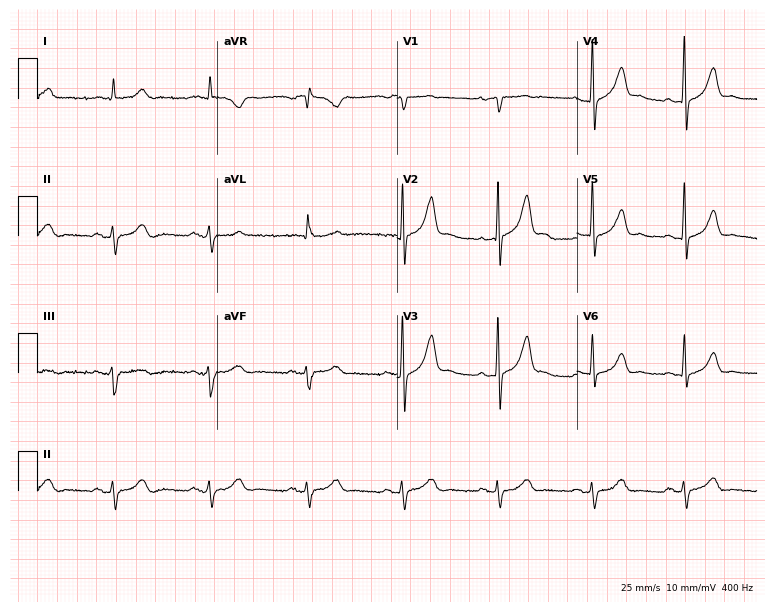
Standard 12-lead ECG recorded from a 54-year-old man (7.3-second recording at 400 Hz). None of these six findings is recorded: first-degree AV block, right bundle branch block, left bundle branch block, sinus bradycardia, atrial fibrillation, sinus tachycardia. Other findings, if any, are not listed.